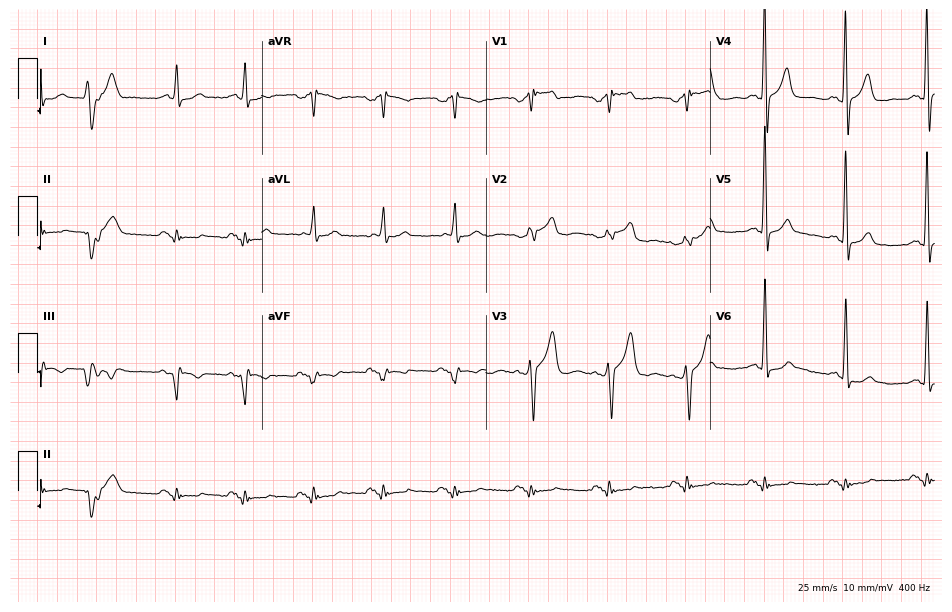
Standard 12-lead ECG recorded from a male patient, 67 years old. Read as a normal ECG.